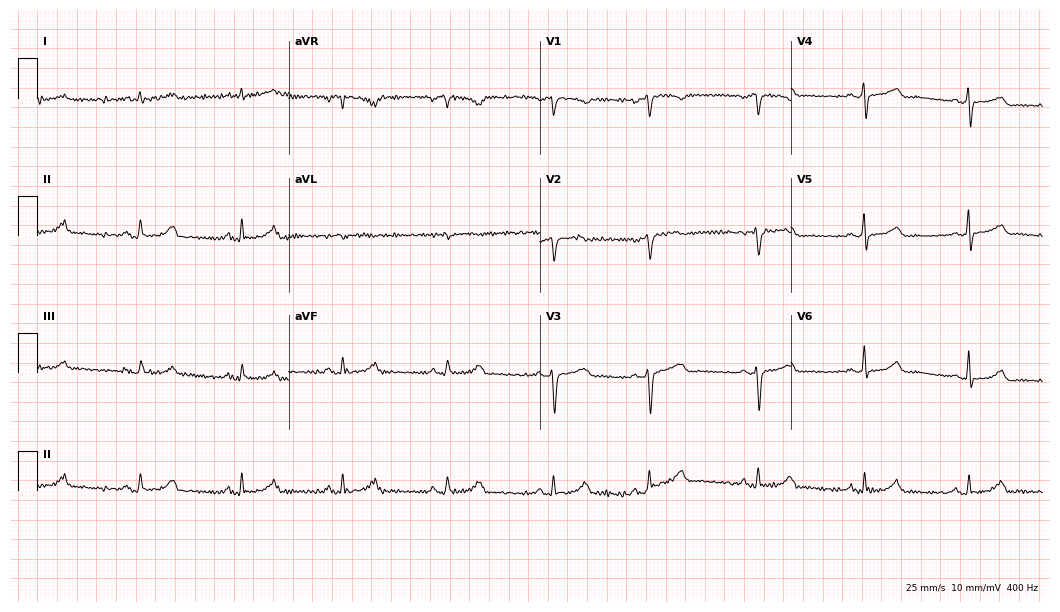
Resting 12-lead electrocardiogram (10.2-second recording at 400 Hz). Patient: a woman, 48 years old. Read as a normal ECG.